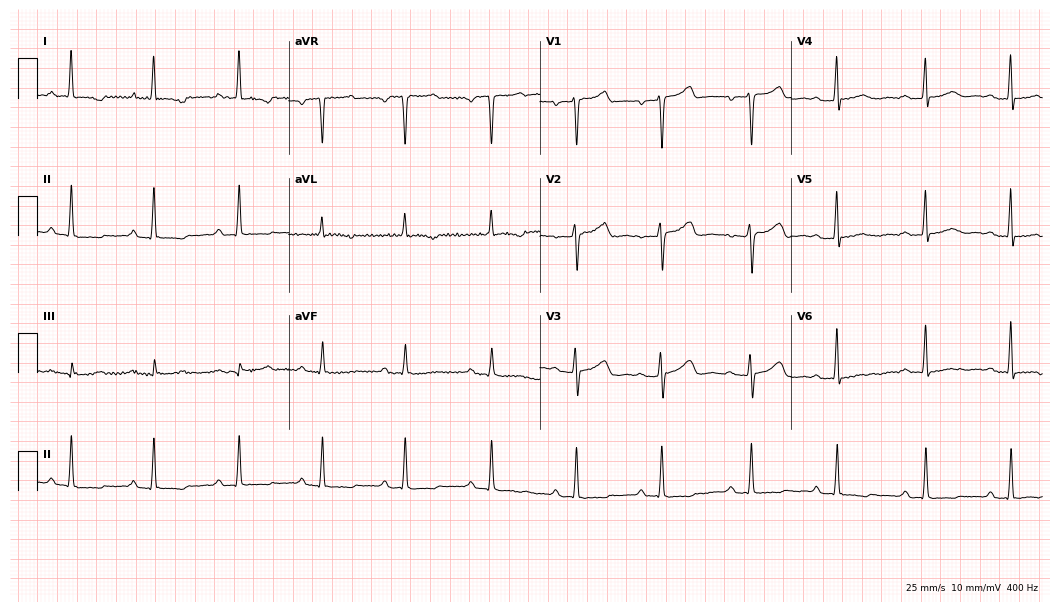
Electrocardiogram, a 47-year-old female. Interpretation includes first-degree AV block.